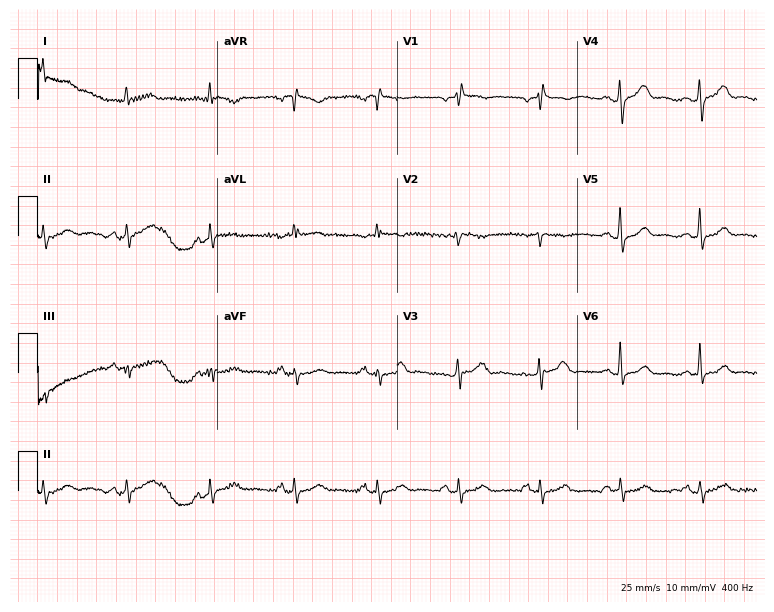
Electrocardiogram (7.3-second recording at 400 Hz), a female, 42 years old. Of the six screened findings (first-degree AV block, right bundle branch block (RBBB), left bundle branch block (LBBB), sinus bradycardia, atrial fibrillation (AF), sinus tachycardia), none is recorded.